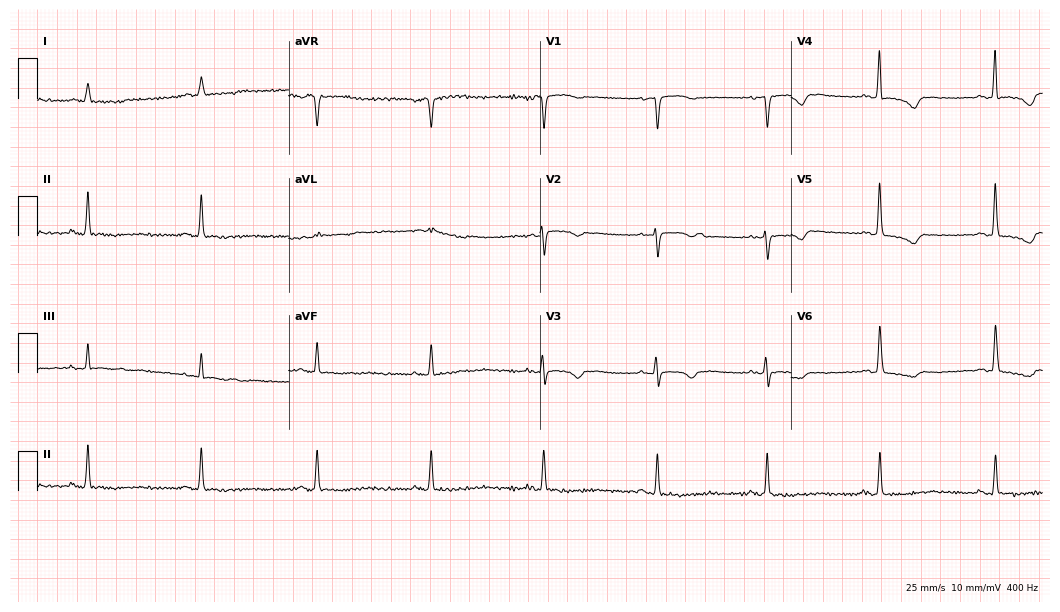
ECG (10.2-second recording at 400 Hz) — a 71-year-old female. Screened for six findings — first-degree AV block, right bundle branch block, left bundle branch block, sinus bradycardia, atrial fibrillation, sinus tachycardia — none is recorded.